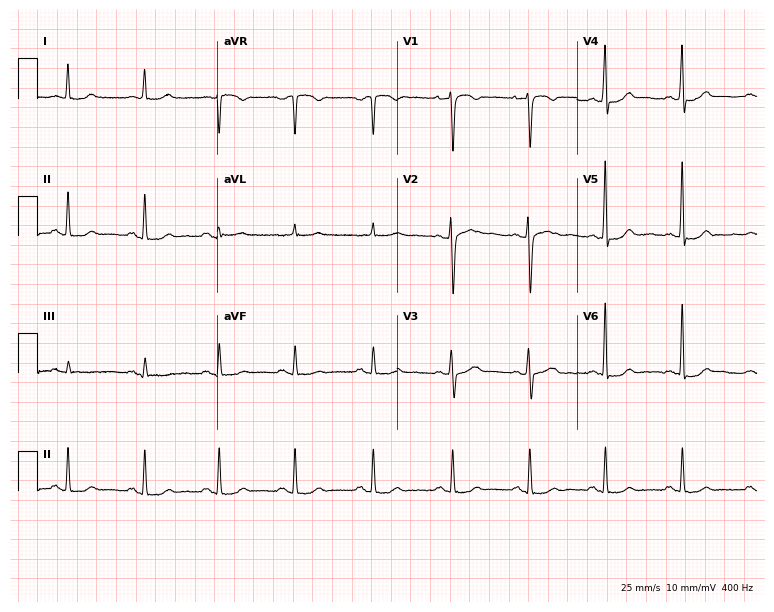
Resting 12-lead electrocardiogram. Patient: a female, 45 years old. None of these six findings is recorded: first-degree AV block, right bundle branch block, left bundle branch block, sinus bradycardia, atrial fibrillation, sinus tachycardia.